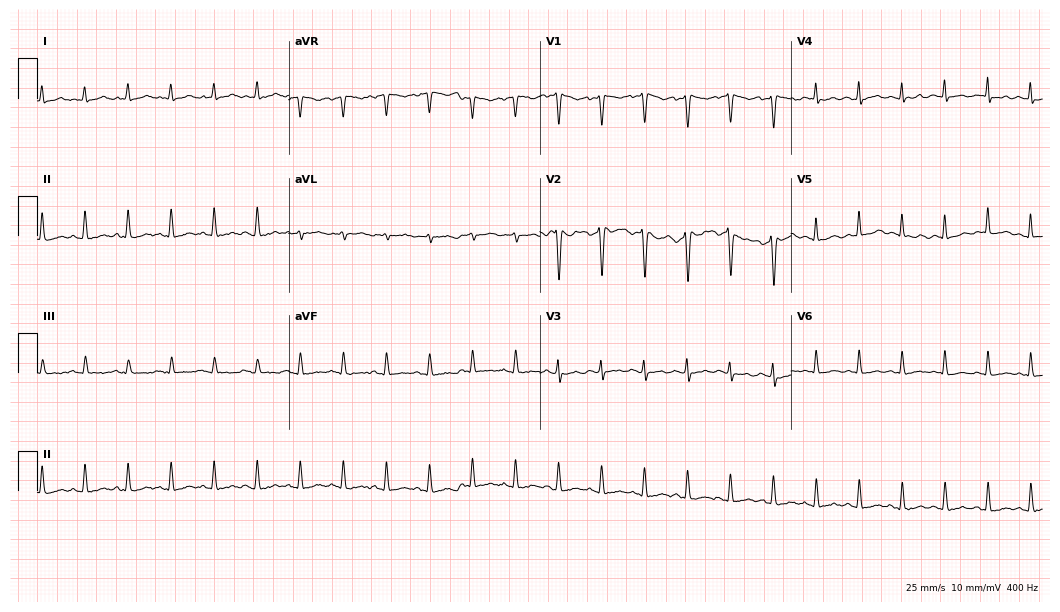
Resting 12-lead electrocardiogram (10.2-second recording at 400 Hz). Patient: a female, 18 years old. The tracing shows sinus tachycardia (a sinus rate of 100 beats per minute or more).